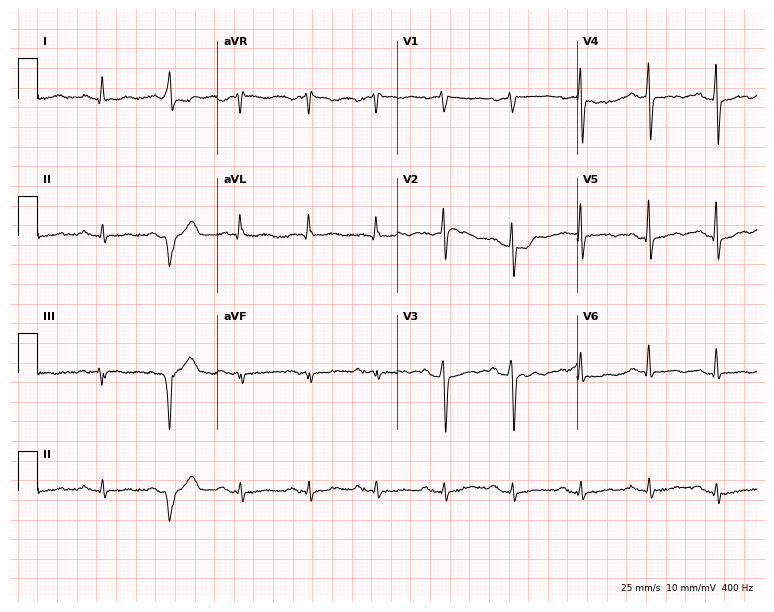
Standard 12-lead ECG recorded from an 84-year-old male (7.3-second recording at 400 Hz). None of these six findings is recorded: first-degree AV block, right bundle branch block, left bundle branch block, sinus bradycardia, atrial fibrillation, sinus tachycardia.